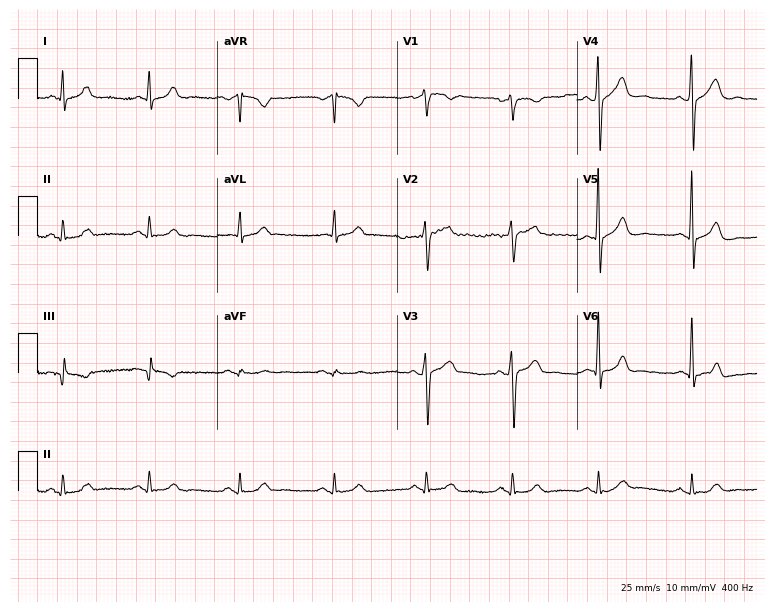
12-lead ECG from a male, 52 years old. Recorded interpretation: within normal limits.